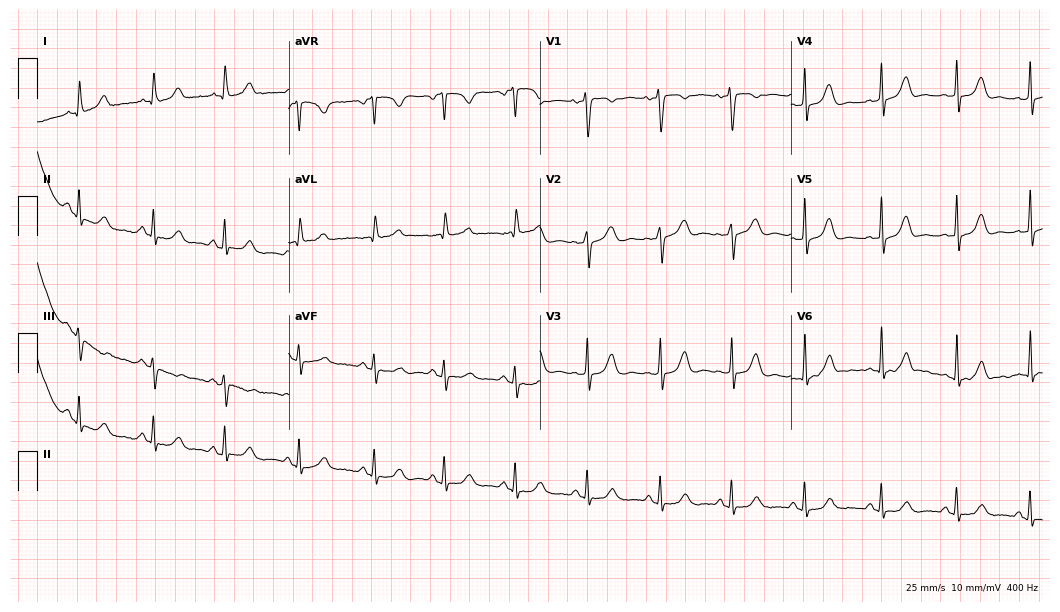
12-lead ECG from a 47-year-old female. No first-degree AV block, right bundle branch block, left bundle branch block, sinus bradycardia, atrial fibrillation or sinus tachycardia recorded for this tracing.